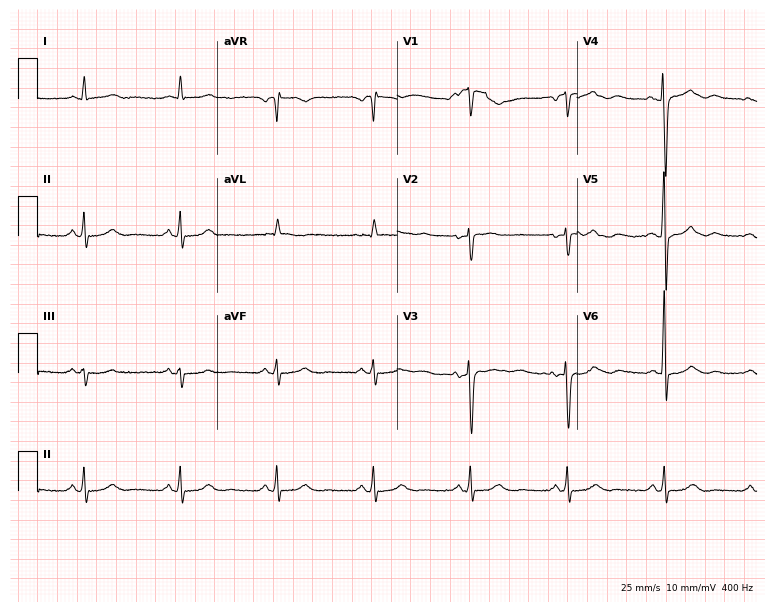
Resting 12-lead electrocardiogram (7.3-second recording at 400 Hz). Patient: a male, 67 years old. Read as a normal ECG.